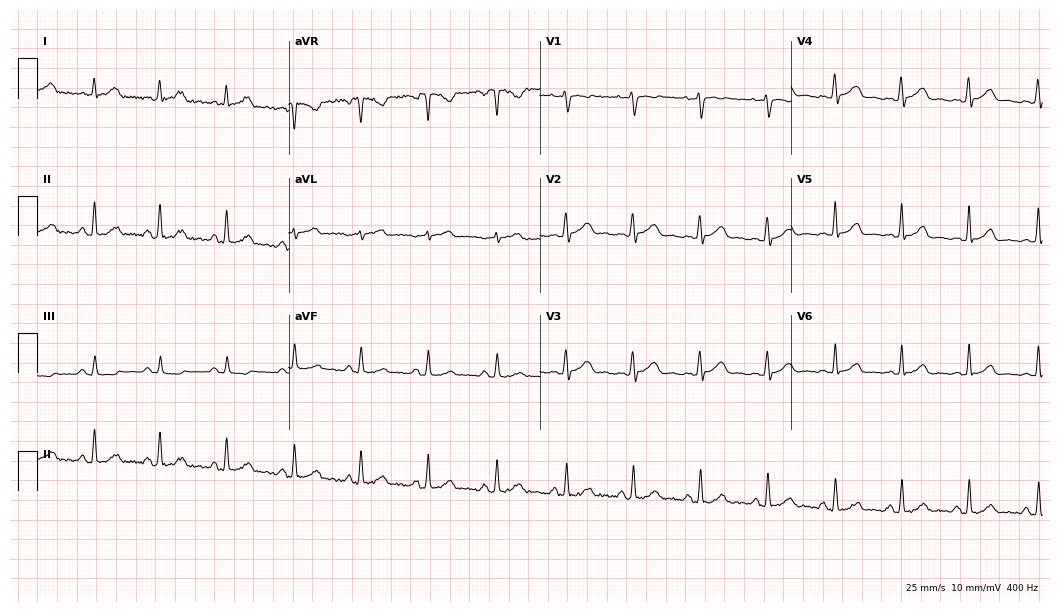
Resting 12-lead electrocardiogram (10.2-second recording at 400 Hz). Patient: a female, 33 years old. Read as a normal ECG.